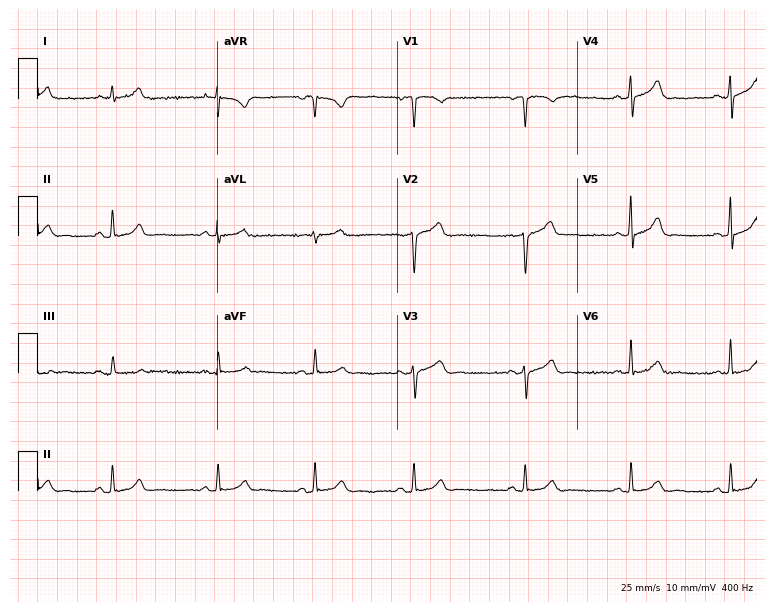
Electrocardiogram (7.3-second recording at 400 Hz), a 37-year-old man. Overall reading on record: normal ECG.